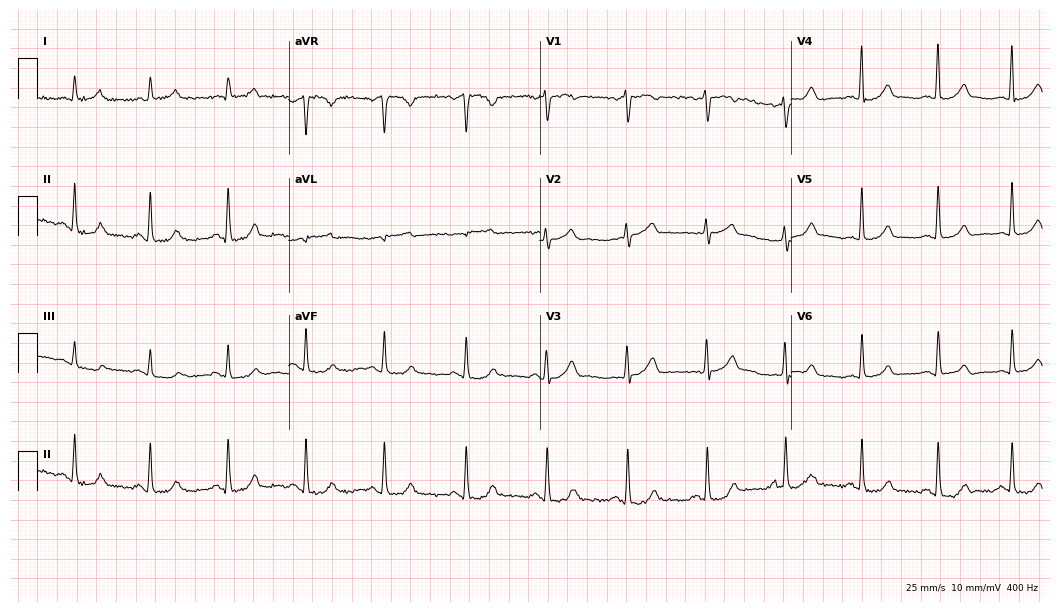
12-lead ECG from a 57-year-old woman. Recorded interpretation: within normal limits.